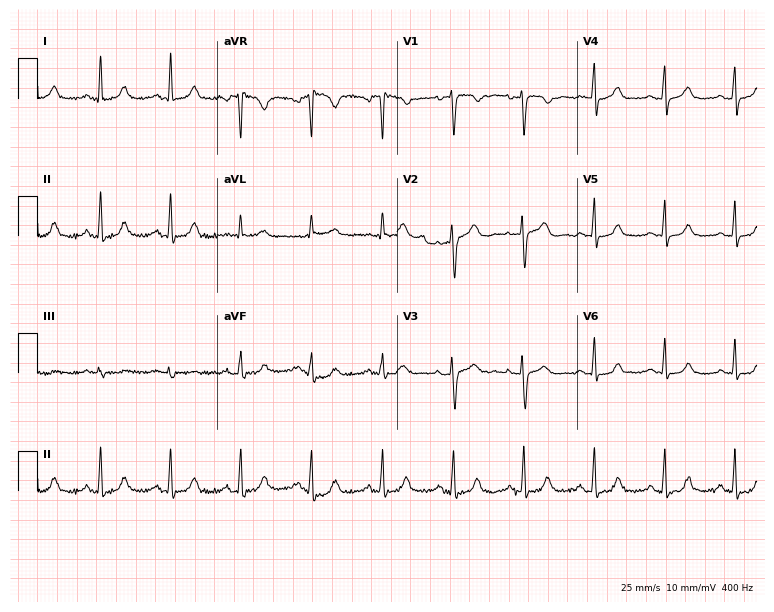
Electrocardiogram, a female, 47 years old. Of the six screened findings (first-degree AV block, right bundle branch block, left bundle branch block, sinus bradycardia, atrial fibrillation, sinus tachycardia), none is recorded. Only these six findings were labelled.